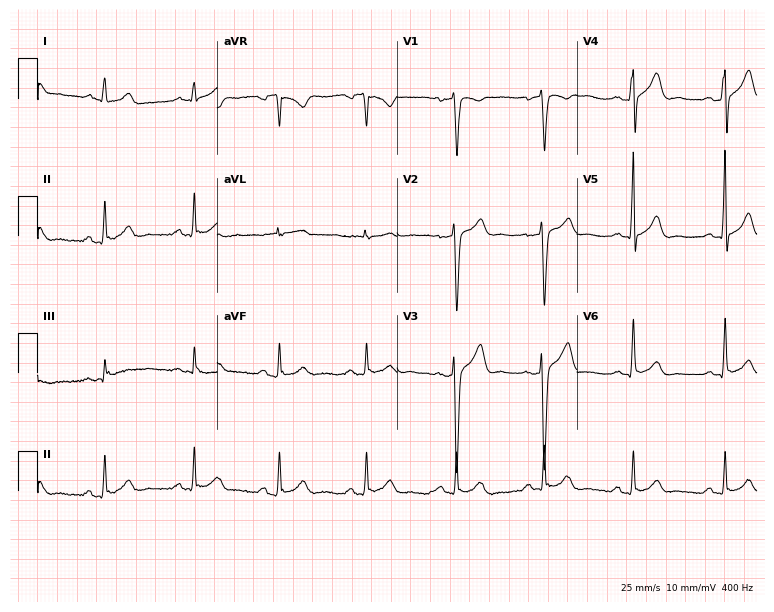
Resting 12-lead electrocardiogram. Patient: a 24-year-old male. Read as a normal ECG.